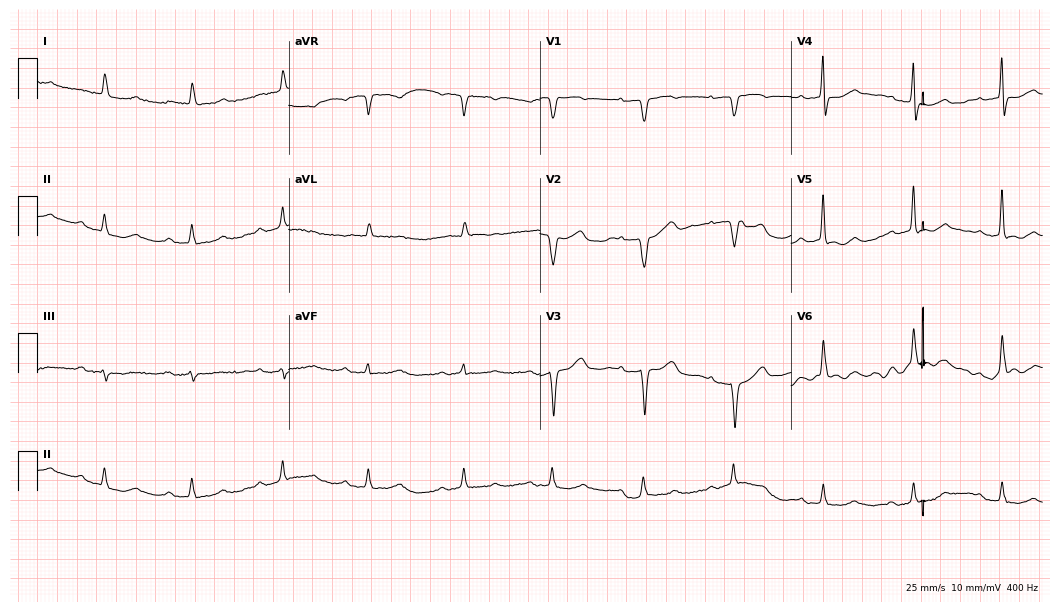
Resting 12-lead electrocardiogram. Patient: an 82-year-old female. The tracing shows first-degree AV block.